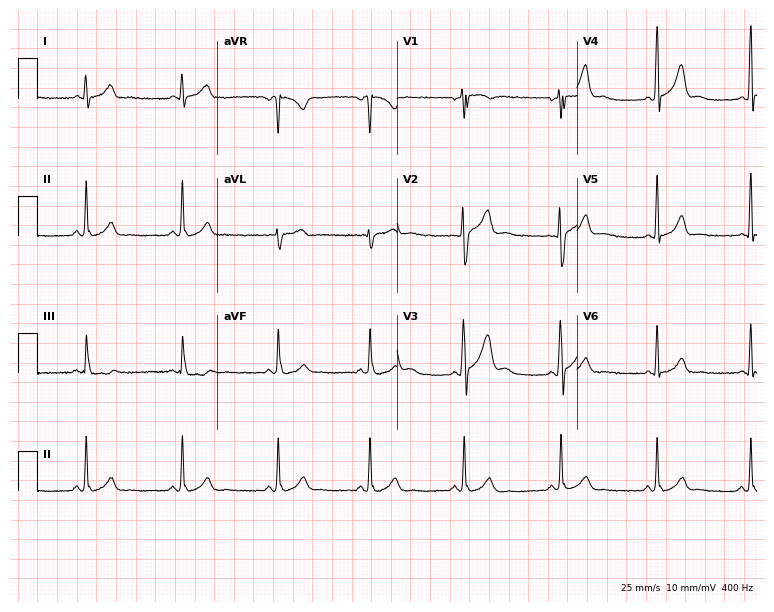
Standard 12-lead ECG recorded from a 21-year-old man. Read as a normal ECG.